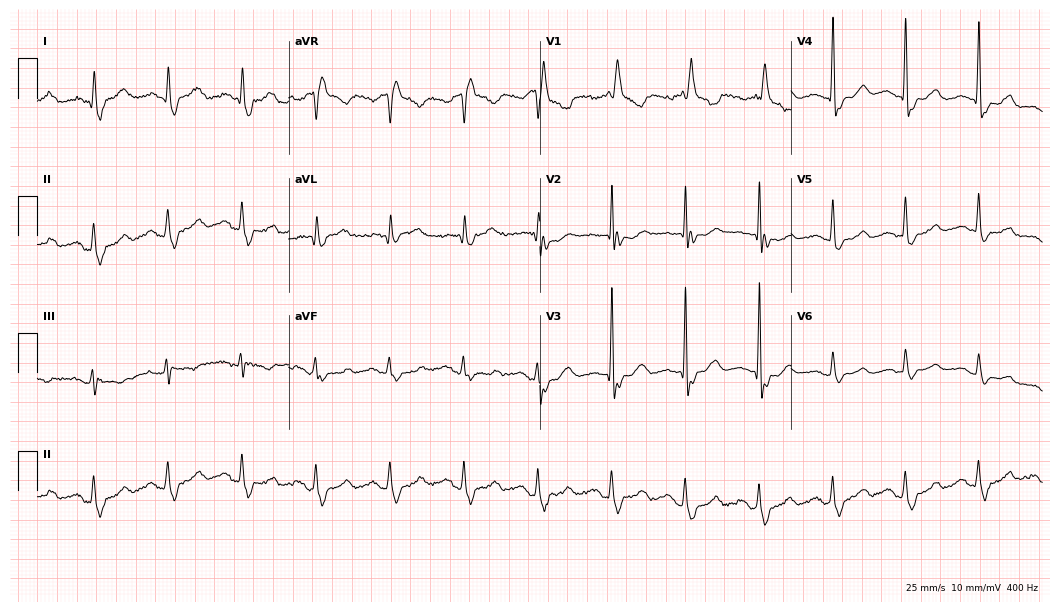
ECG — an 80-year-old female. Screened for six findings — first-degree AV block, right bundle branch block, left bundle branch block, sinus bradycardia, atrial fibrillation, sinus tachycardia — none is recorded.